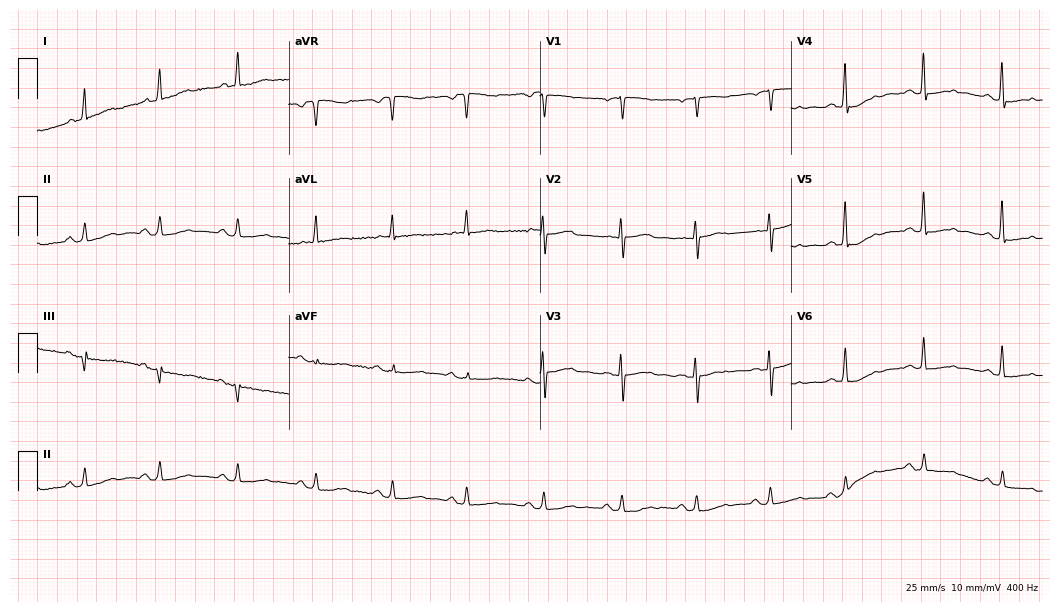
12-lead ECG from a female patient, 79 years old (10.2-second recording at 400 Hz). No first-degree AV block, right bundle branch block, left bundle branch block, sinus bradycardia, atrial fibrillation or sinus tachycardia recorded for this tracing. Other findings, if any, are not listed.